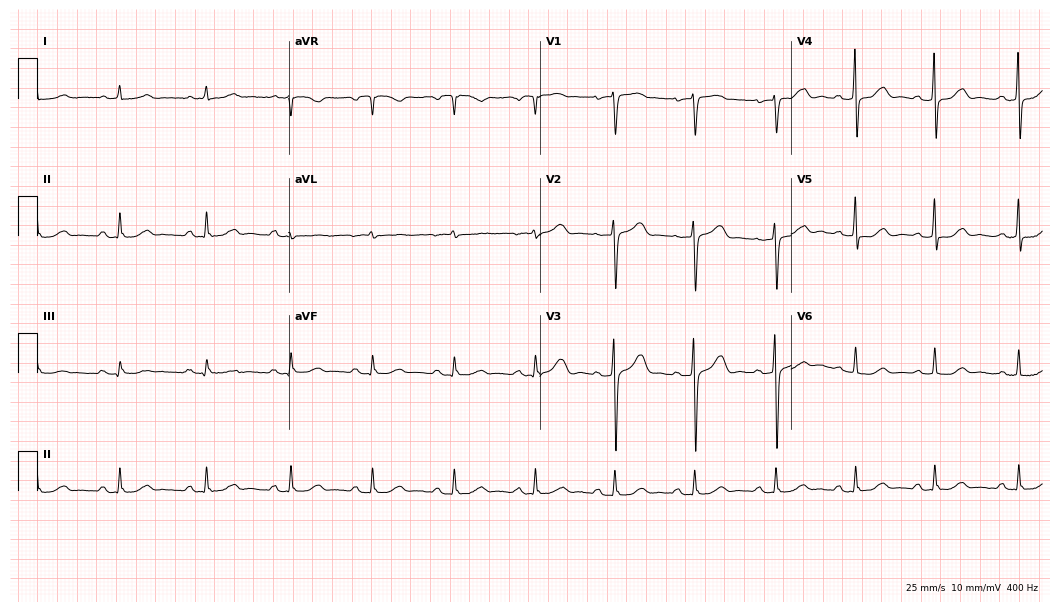
12-lead ECG from a 74-year-old male. Recorded interpretation: within normal limits.